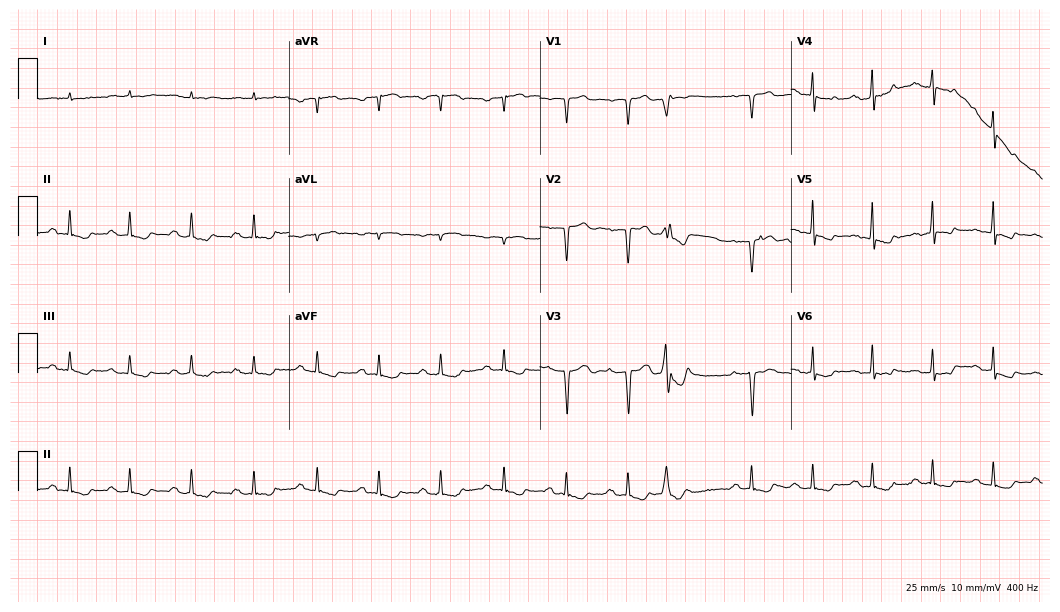
ECG (10.2-second recording at 400 Hz) — a man, 81 years old. Screened for six findings — first-degree AV block, right bundle branch block, left bundle branch block, sinus bradycardia, atrial fibrillation, sinus tachycardia — none is recorded. Findings outside these six are not listed.